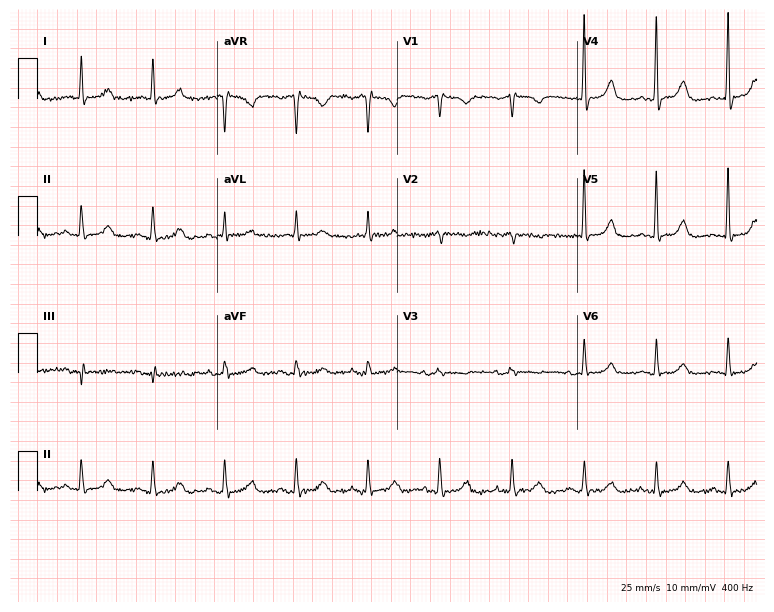
Standard 12-lead ECG recorded from a 79-year-old female. None of these six findings is recorded: first-degree AV block, right bundle branch block, left bundle branch block, sinus bradycardia, atrial fibrillation, sinus tachycardia. Findings outside these six are not listed.